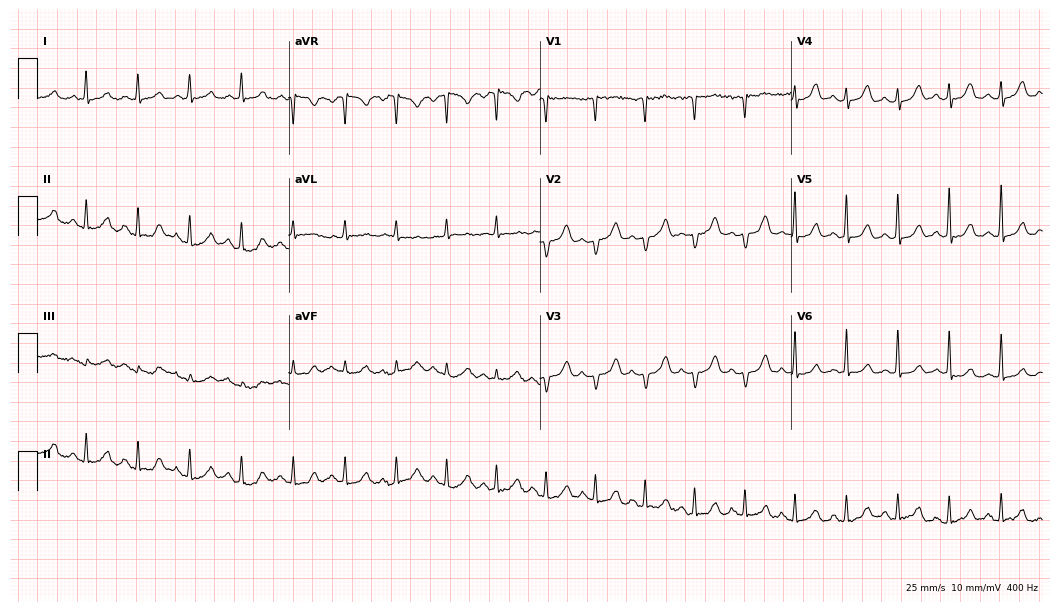
Resting 12-lead electrocardiogram (10.2-second recording at 400 Hz). Patient: an 82-year-old female. The tracing shows sinus tachycardia (a sinus rate of 100 beats per minute or more).